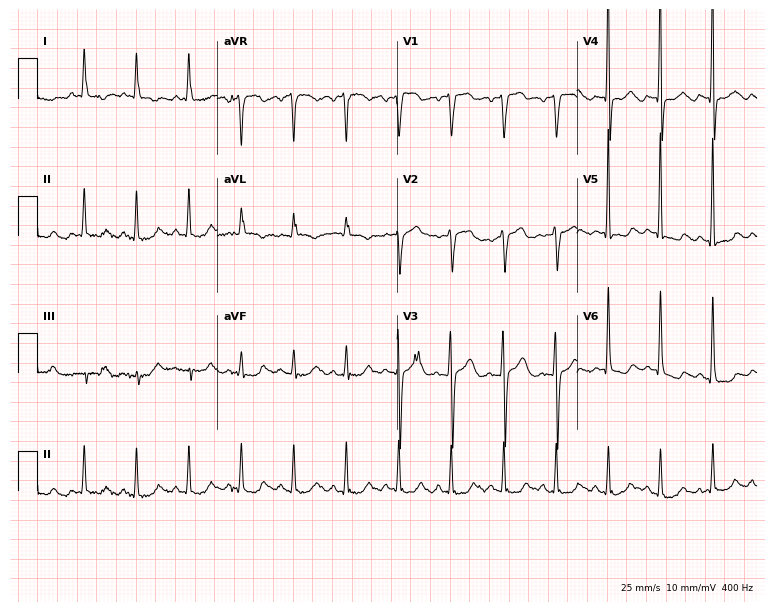
Resting 12-lead electrocardiogram (7.3-second recording at 400 Hz). Patient: a woman, 85 years old. The tracing shows sinus tachycardia (a sinus rate of 100 beats per minute or more).